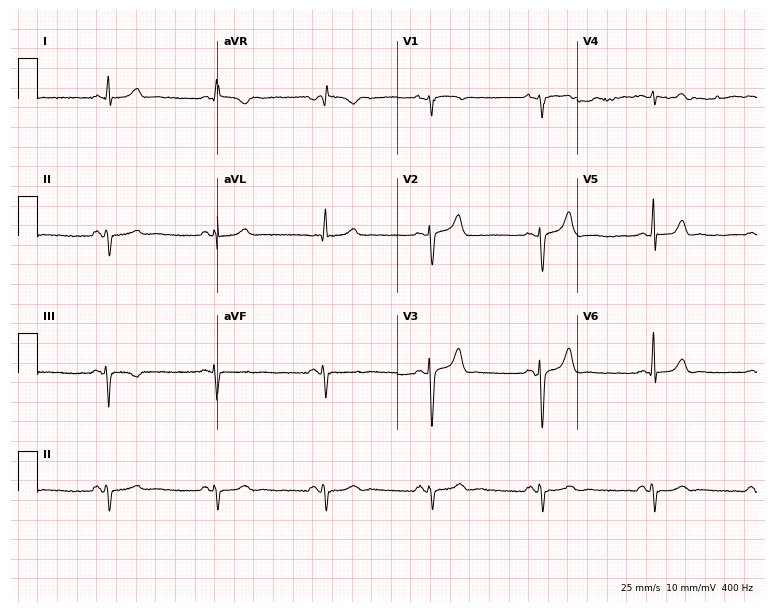
12-lead ECG (7.3-second recording at 400 Hz) from a man, 63 years old. Screened for six findings — first-degree AV block, right bundle branch block, left bundle branch block, sinus bradycardia, atrial fibrillation, sinus tachycardia — none is recorded.